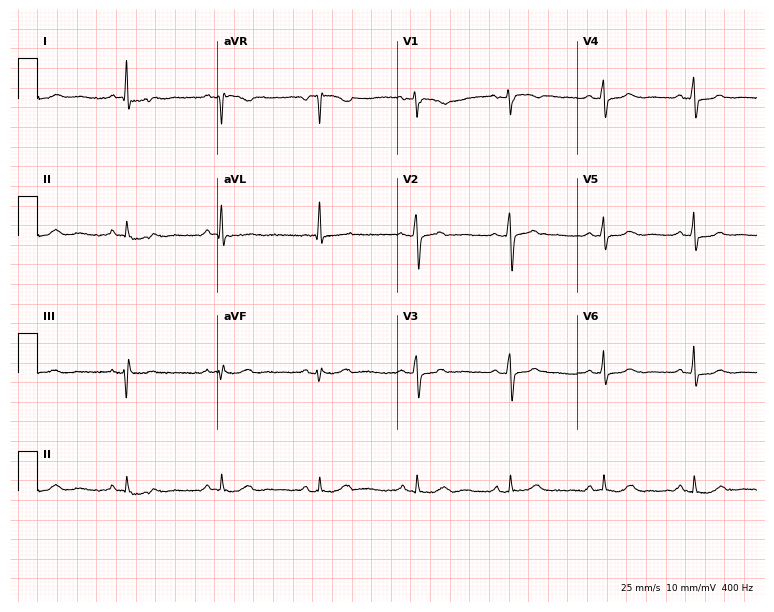
ECG (7.3-second recording at 400 Hz) — a 61-year-old female patient. Screened for six findings — first-degree AV block, right bundle branch block (RBBB), left bundle branch block (LBBB), sinus bradycardia, atrial fibrillation (AF), sinus tachycardia — none is recorded. Only these six findings were labelled.